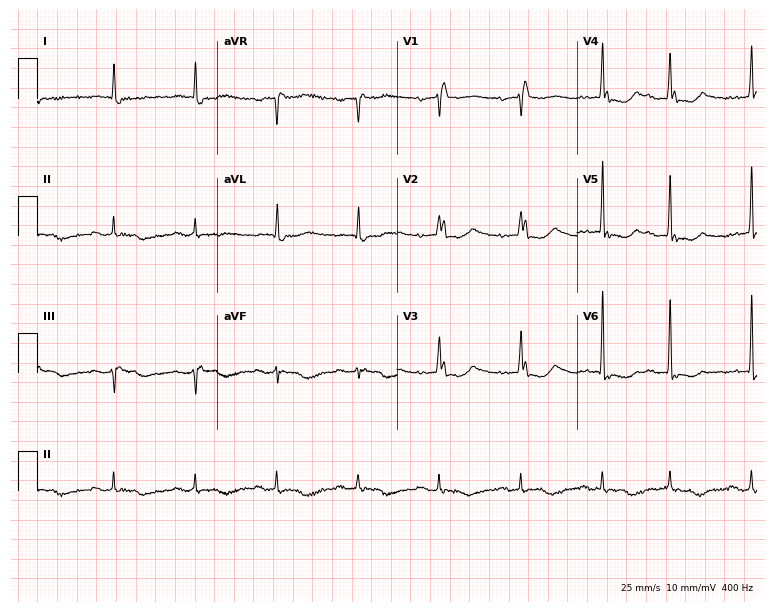
Resting 12-lead electrocardiogram. Patient: a 78-year-old female. The tracing shows first-degree AV block, right bundle branch block (RBBB).